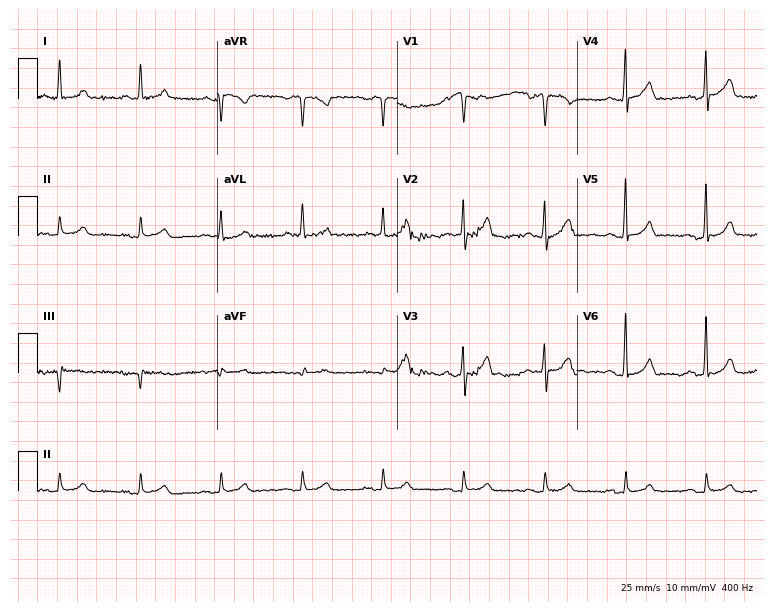
12-lead ECG from a female patient, 72 years old (7.3-second recording at 400 Hz). No first-degree AV block, right bundle branch block (RBBB), left bundle branch block (LBBB), sinus bradycardia, atrial fibrillation (AF) or sinus tachycardia recorded for this tracing.